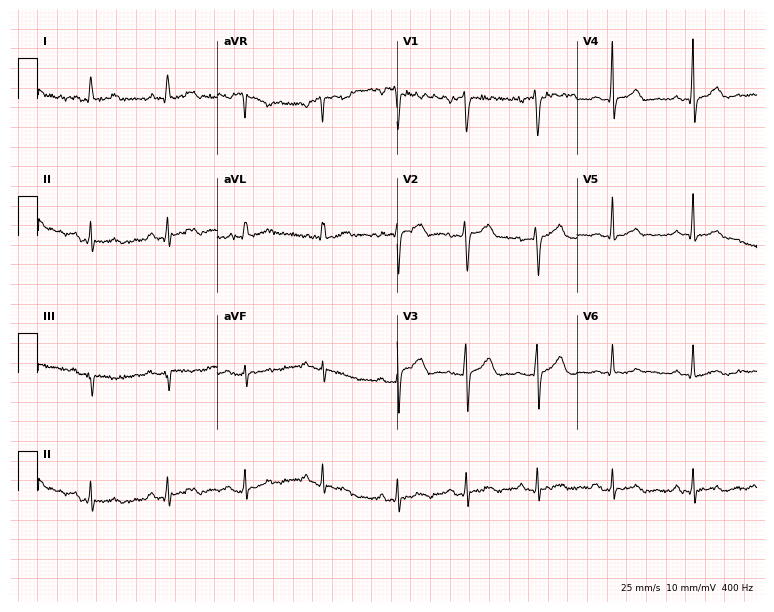
ECG (7.3-second recording at 400 Hz) — a woman, 38 years old. Labelled as a normal ECG.